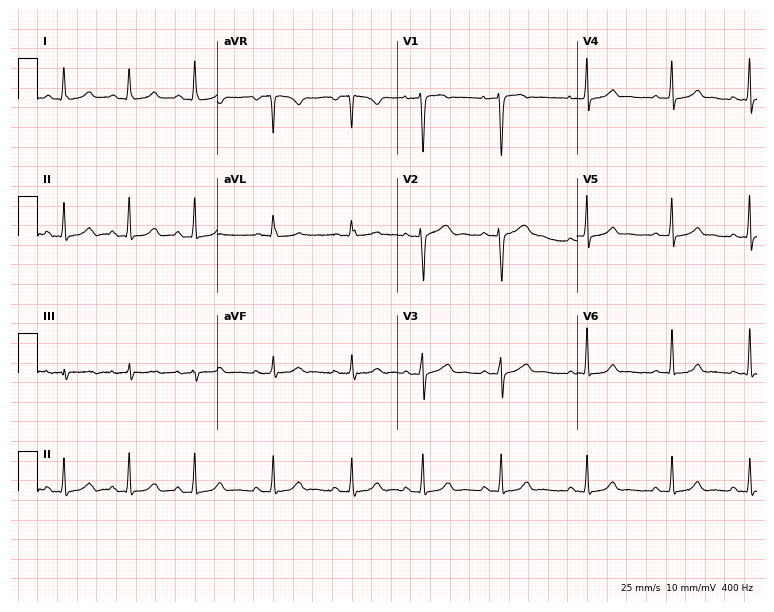
Electrocardiogram, a 30-year-old woman. Of the six screened findings (first-degree AV block, right bundle branch block, left bundle branch block, sinus bradycardia, atrial fibrillation, sinus tachycardia), none is recorded. Other findings, if any, are not listed.